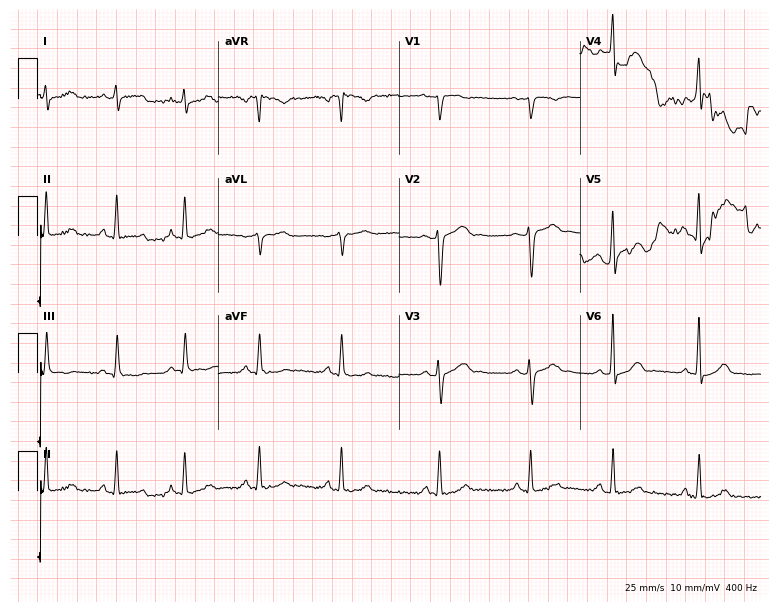
ECG (7.4-second recording at 400 Hz) — a 30-year-old female patient. Screened for six findings — first-degree AV block, right bundle branch block (RBBB), left bundle branch block (LBBB), sinus bradycardia, atrial fibrillation (AF), sinus tachycardia — none is recorded.